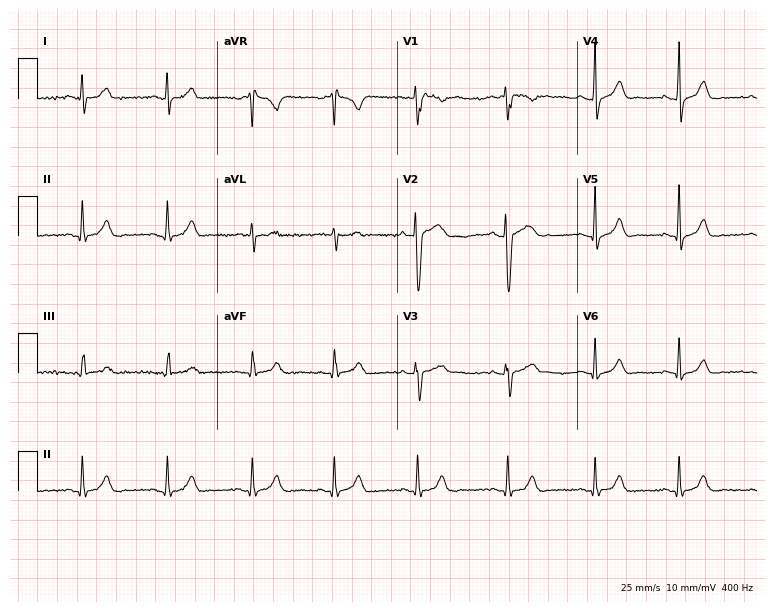
12-lead ECG from a man, 38 years old (7.3-second recording at 400 Hz). Recorded interpretation: within normal limits.